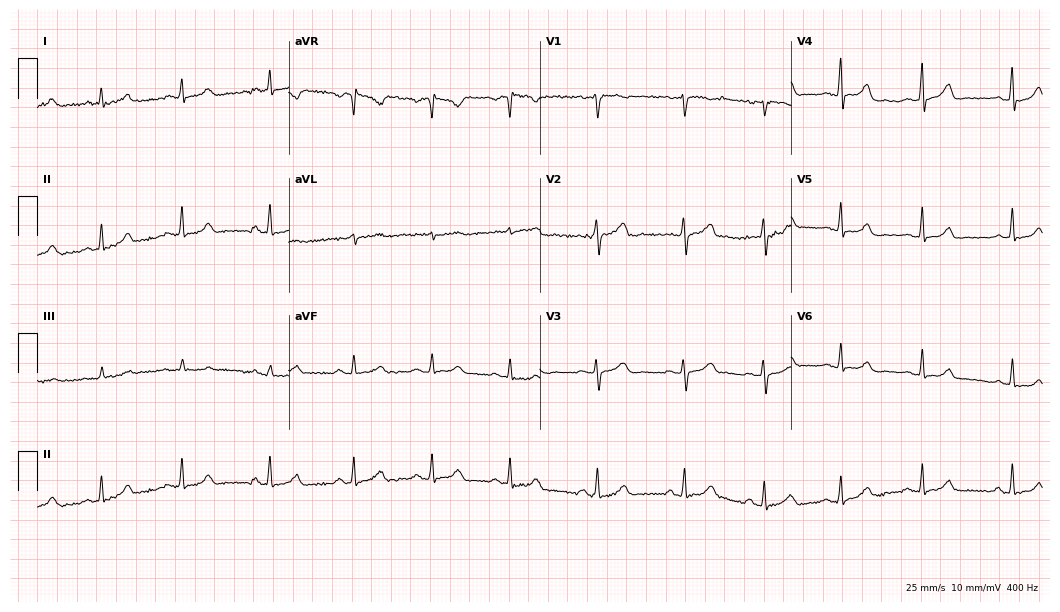
Resting 12-lead electrocardiogram (10.2-second recording at 400 Hz). Patient: a female, 18 years old. Read as a normal ECG.